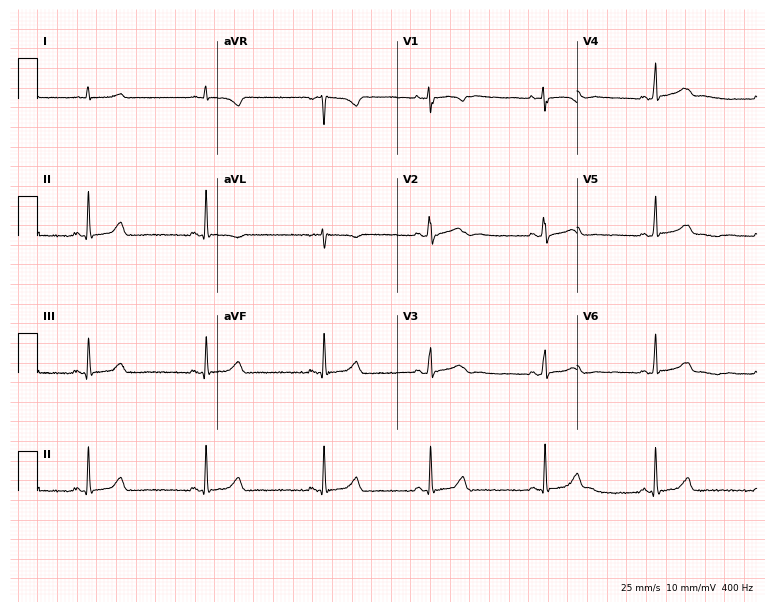
Electrocardiogram (7.3-second recording at 400 Hz), a female patient, 20 years old. Of the six screened findings (first-degree AV block, right bundle branch block (RBBB), left bundle branch block (LBBB), sinus bradycardia, atrial fibrillation (AF), sinus tachycardia), none is recorded.